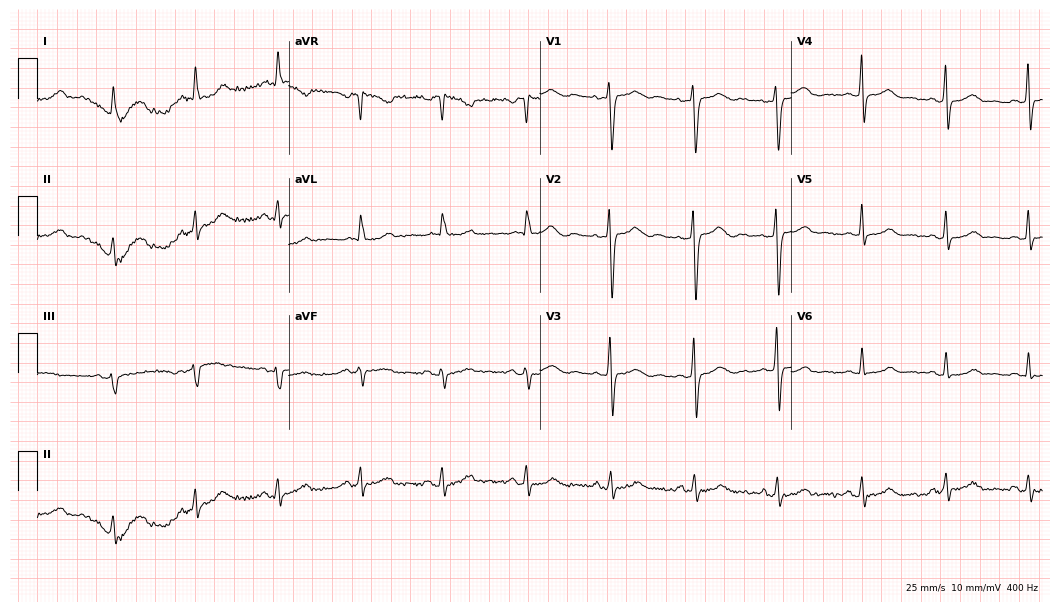
12-lead ECG from a 53-year-old woman. Recorded interpretation: within normal limits.